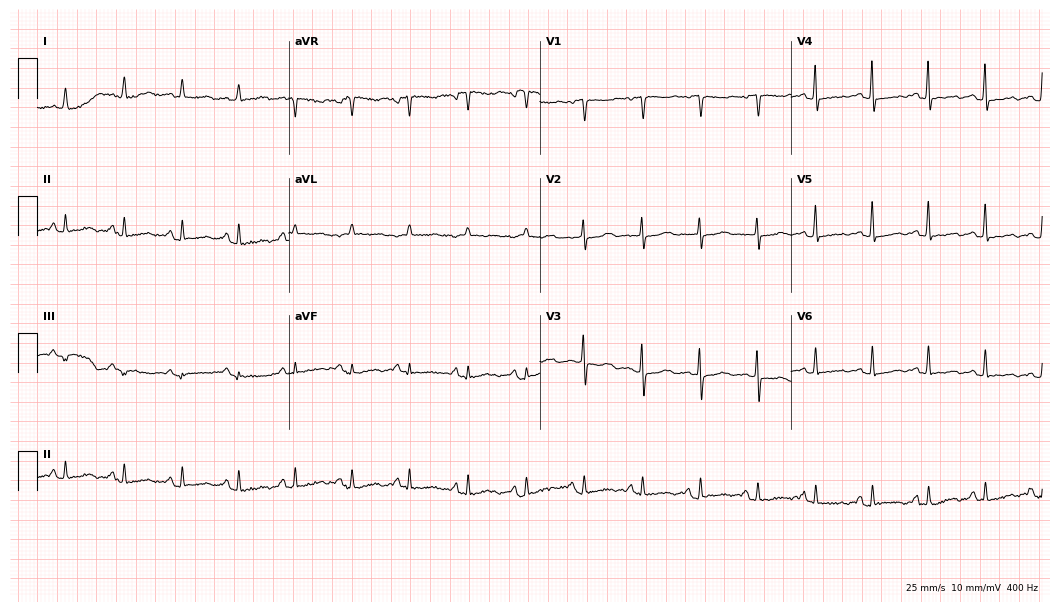
Electrocardiogram, a 56-year-old female. Interpretation includes sinus tachycardia (a sinus rate of 100 beats per minute or more).